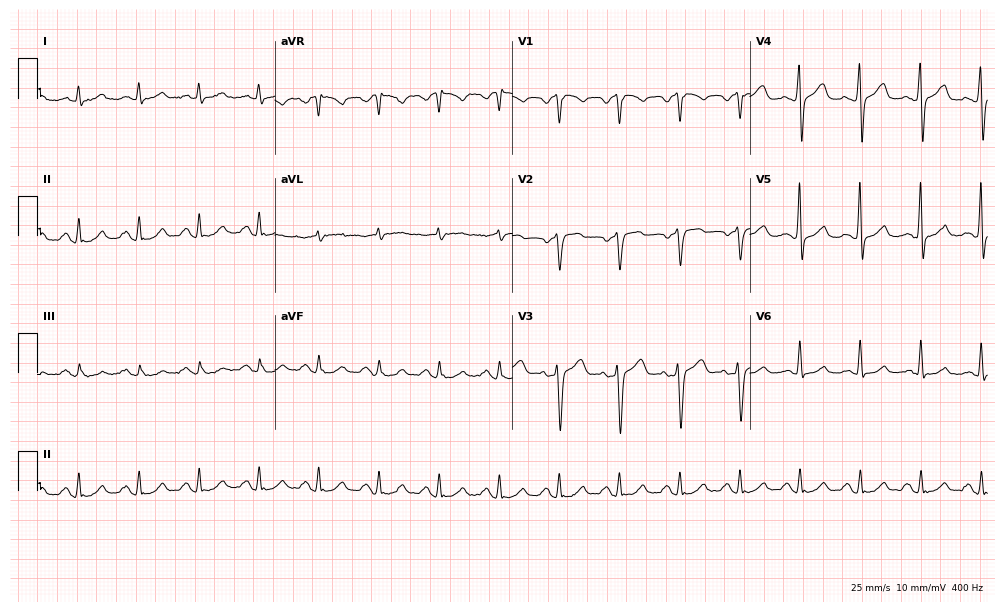
ECG — a male patient, 64 years old. Screened for six findings — first-degree AV block, right bundle branch block (RBBB), left bundle branch block (LBBB), sinus bradycardia, atrial fibrillation (AF), sinus tachycardia — none is recorded.